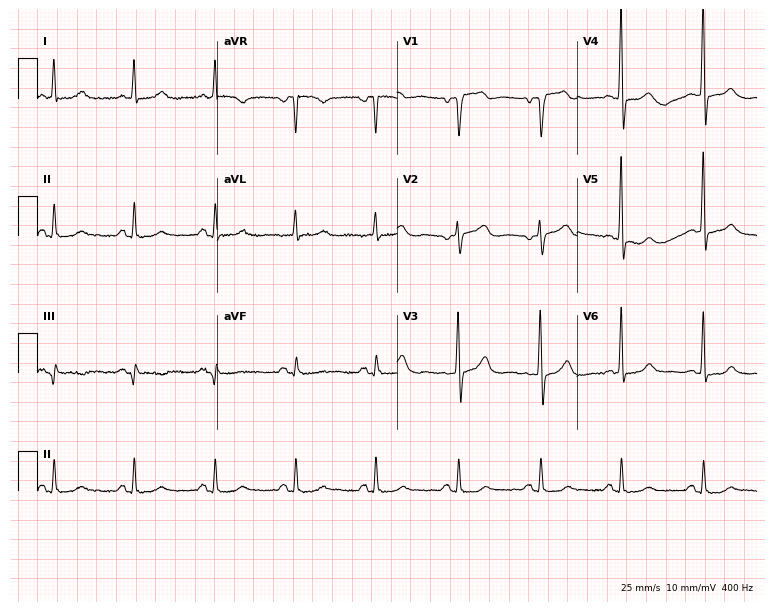
12-lead ECG from a male patient, 77 years old. Recorded interpretation: within normal limits.